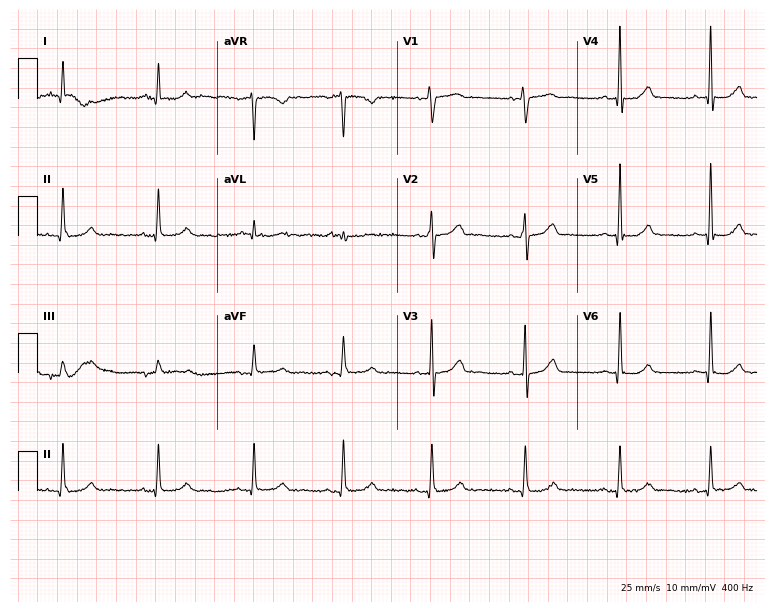
12-lead ECG from a woman, 61 years old. No first-degree AV block, right bundle branch block (RBBB), left bundle branch block (LBBB), sinus bradycardia, atrial fibrillation (AF) or sinus tachycardia recorded for this tracing.